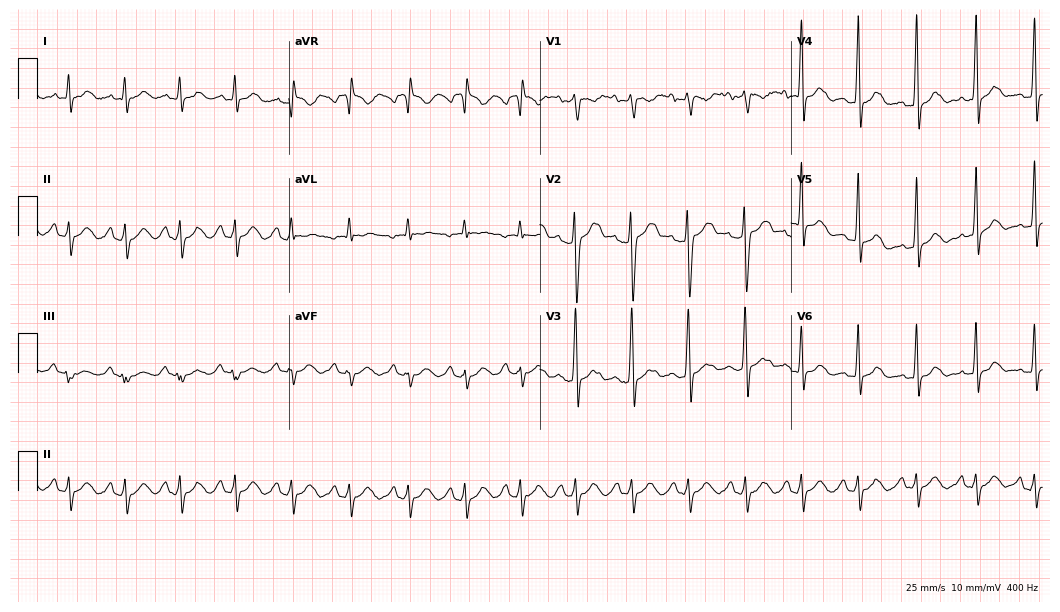
Electrocardiogram, a man, 19 years old. Interpretation includes sinus tachycardia (a sinus rate of 100 beats per minute or more).